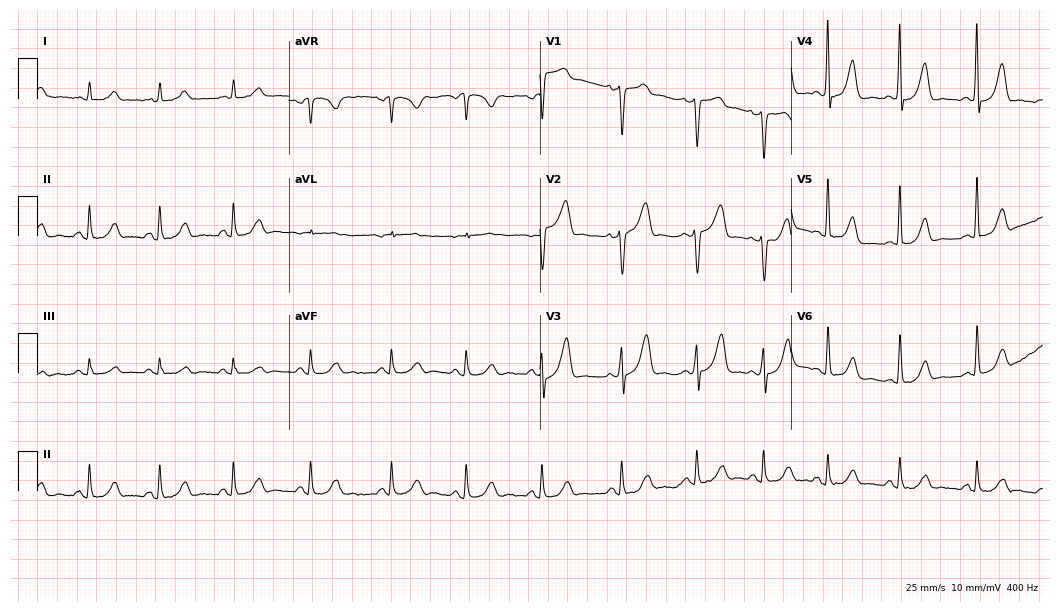
12-lead ECG from a 47-year-old man. Labelled as a normal ECG.